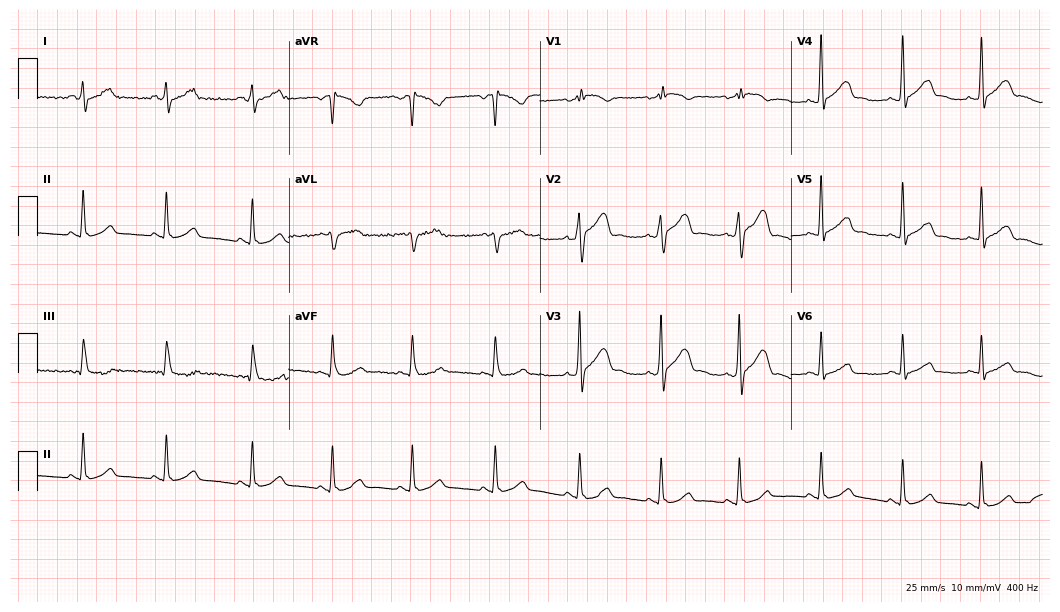
Resting 12-lead electrocardiogram. Patient: a 30-year-old male. None of these six findings is recorded: first-degree AV block, right bundle branch block (RBBB), left bundle branch block (LBBB), sinus bradycardia, atrial fibrillation (AF), sinus tachycardia. Findings outside these six are not listed.